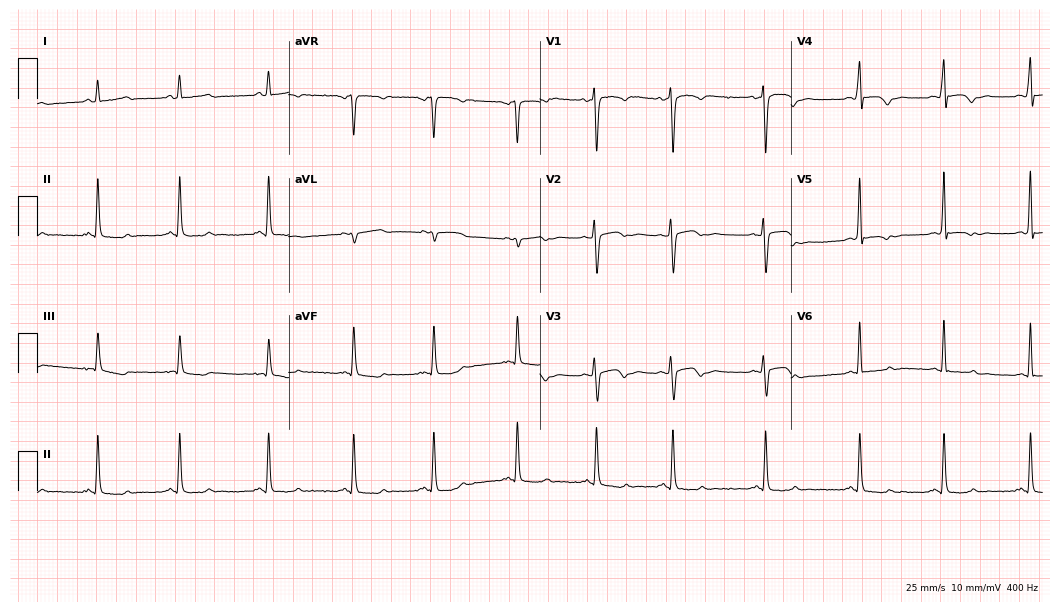
Electrocardiogram (10.2-second recording at 400 Hz), a 28-year-old female. Of the six screened findings (first-degree AV block, right bundle branch block, left bundle branch block, sinus bradycardia, atrial fibrillation, sinus tachycardia), none is recorded.